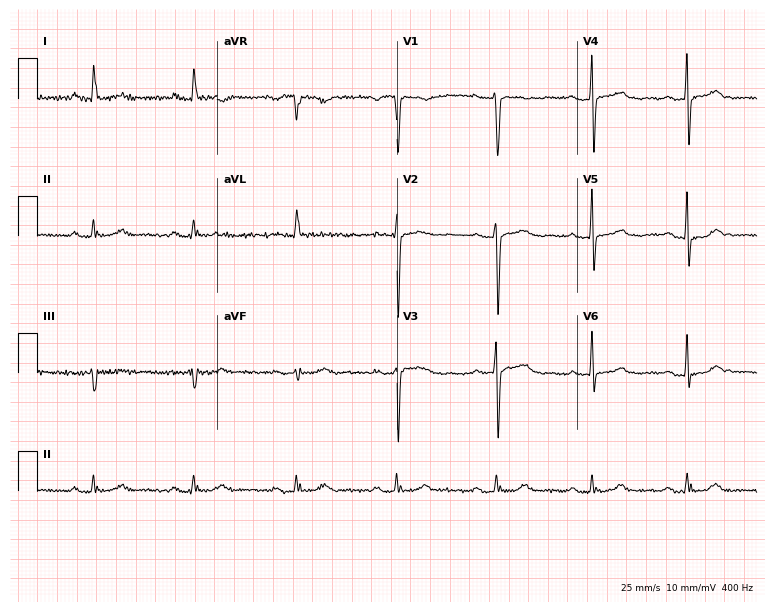
Electrocardiogram, a female patient, 67 years old. Of the six screened findings (first-degree AV block, right bundle branch block (RBBB), left bundle branch block (LBBB), sinus bradycardia, atrial fibrillation (AF), sinus tachycardia), none is recorded. Other findings, if any, are not listed.